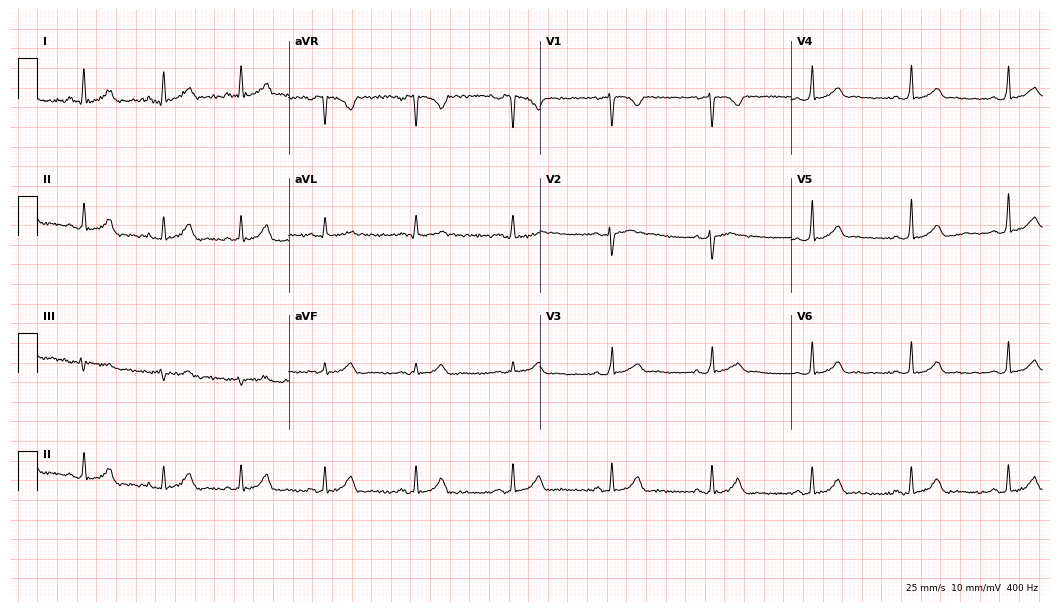
ECG (10.2-second recording at 400 Hz) — a 22-year-old male. Labelled as a normal ECG.